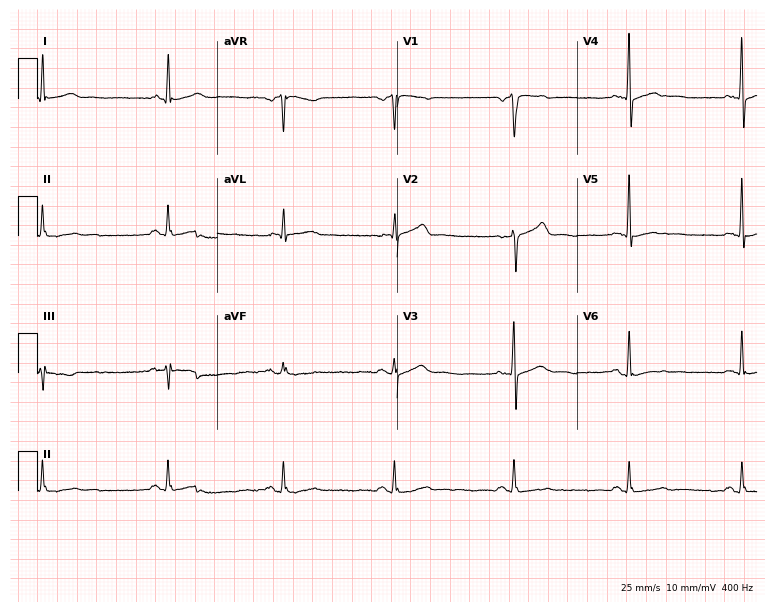
Resting 12-lead electrocardiogram. Patient: a 53-year-old man. None of these six findings is recorded: first-degree AV block, right bundle branch block, left bundle branch block, sinus bradycardia, atrial fibrillation, sinus tachycardia.